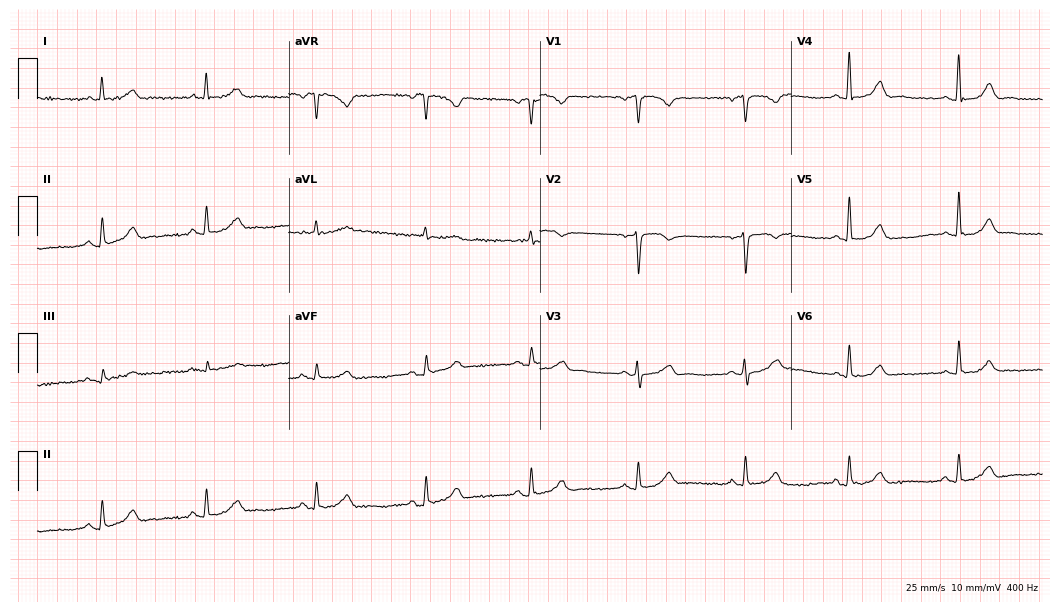
Standard 12-lead ECG recorded from a 65-year-old woman. Read as a normal ECG.